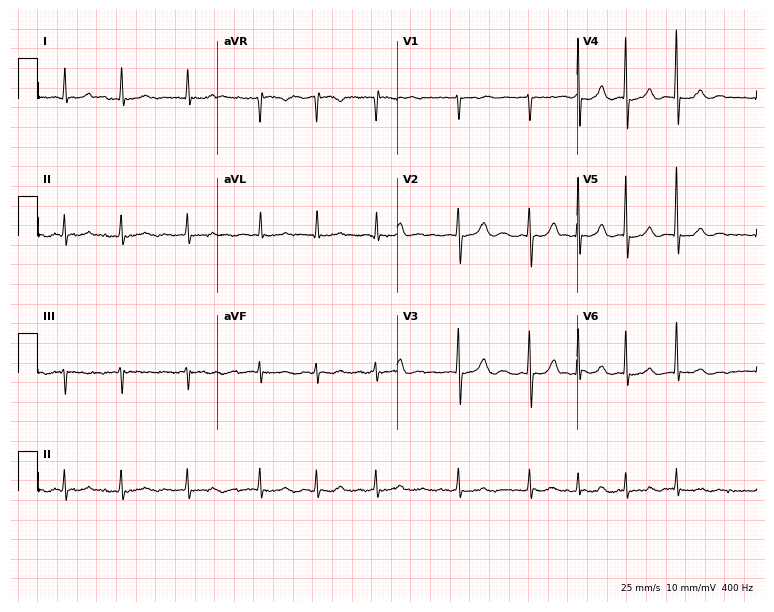
Electrocardiogram (7.3-second recording at 400 Hz), a woman, 75 years old. Interpretation includes atrial fibrillation (AF).